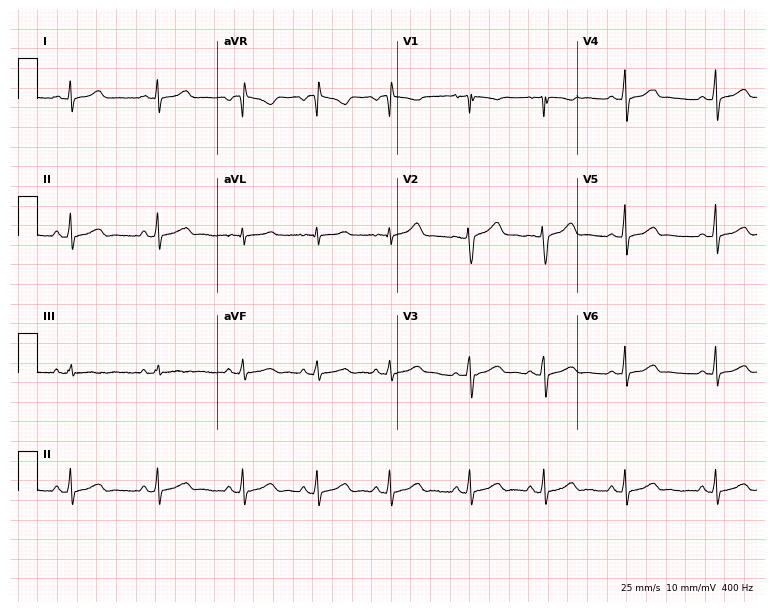
12-lead ECG (7.3-second recording at 400 Hz) from a female, 24 years old. Labelled as a normal ECG.